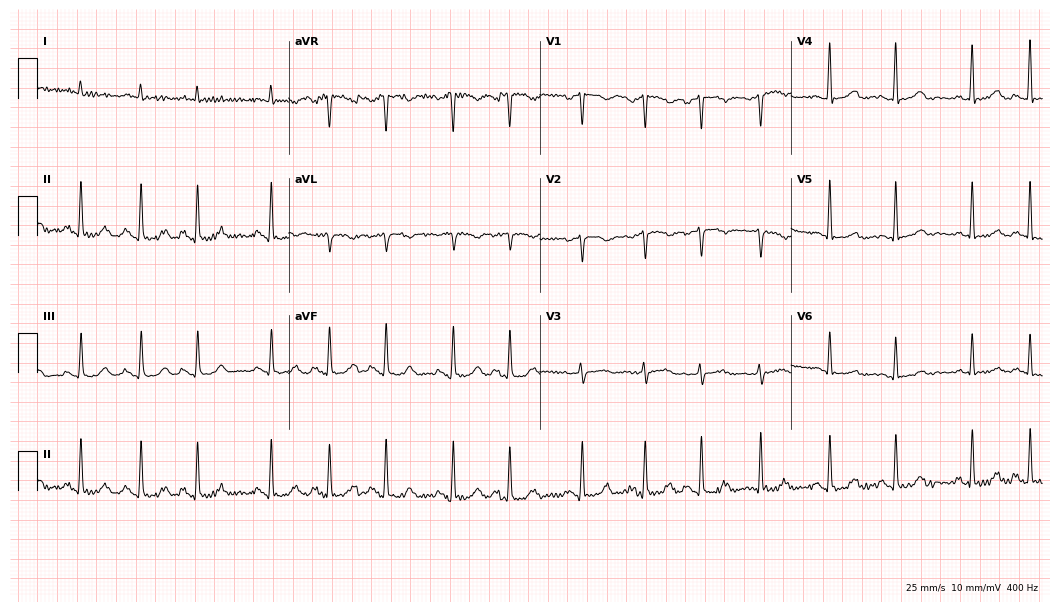
12-lead ECG (10.2-second recording at 400 Hz) from a male patient, 86 years old. Screened for six findings — first-degree AV block, right bundle branch block, left bundle branch block, sinus bradycardia, atrial fibrillation, sinus tachycardia — none is recorded. Other findings, if any, are not listed.